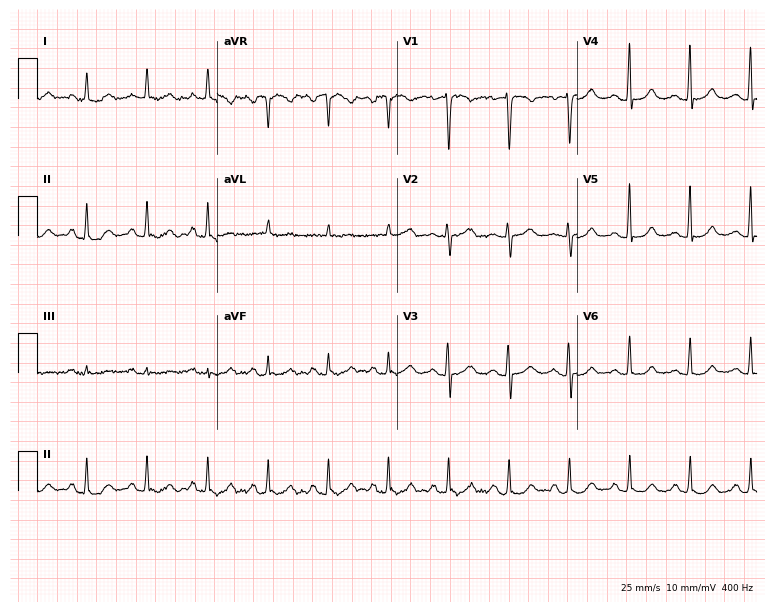
12-lead ECG from a female, 72 years old. Labelled as a normal ECG.